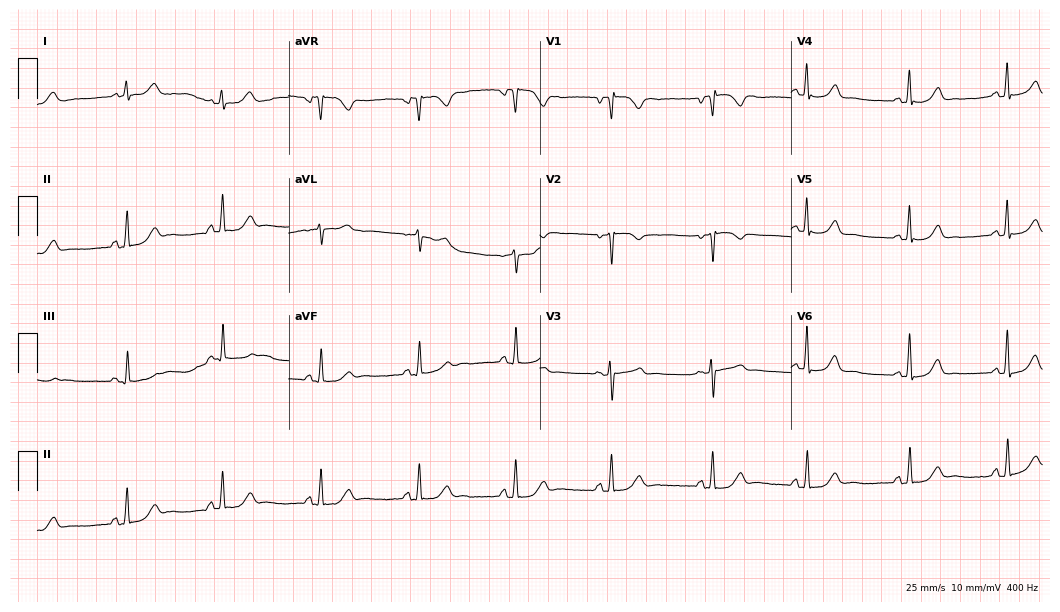
ECG — a 76-year-old female patient. Labelled as a normal ECG.